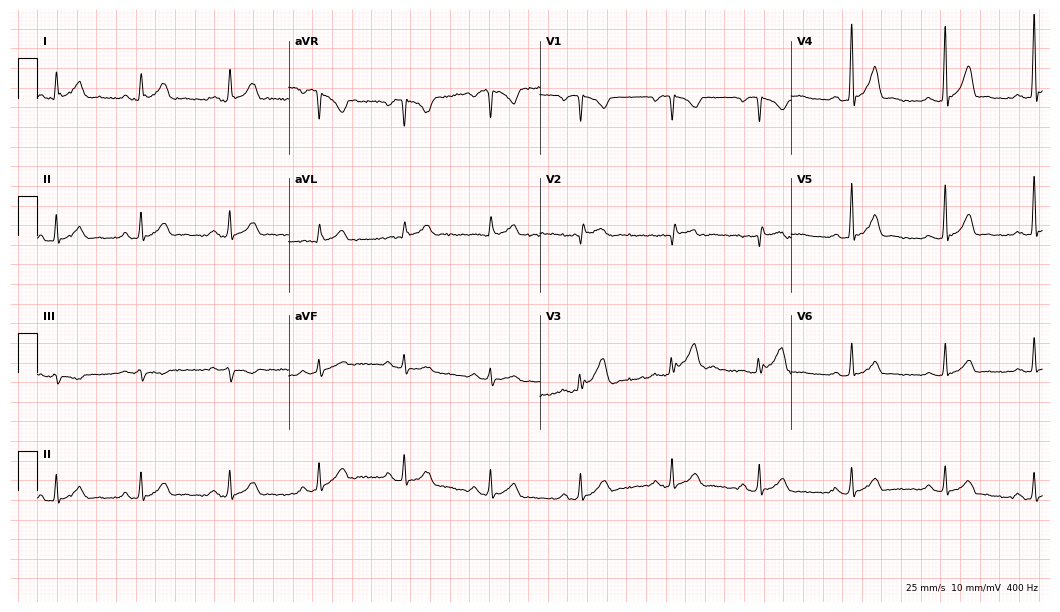
Resting 12-lead electrocardiogram (10.2-second recording at 400 Hz). Patient: a 28-year-old man. None of these six findings is recorded: first-degree AV block, right bundle branch block, left bundle branch block, sinus bradycardia, atrial fibrillation, sinus tachycardia.